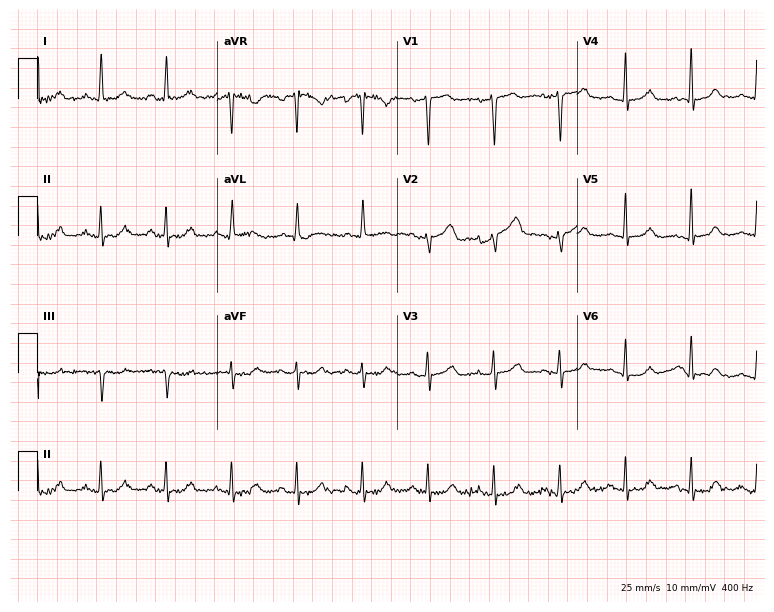
Resting 12-lead electrocardiogram (7.3-second recording at 400 Hz). Patient: a female, 66 years old. Read as a normal ECG.